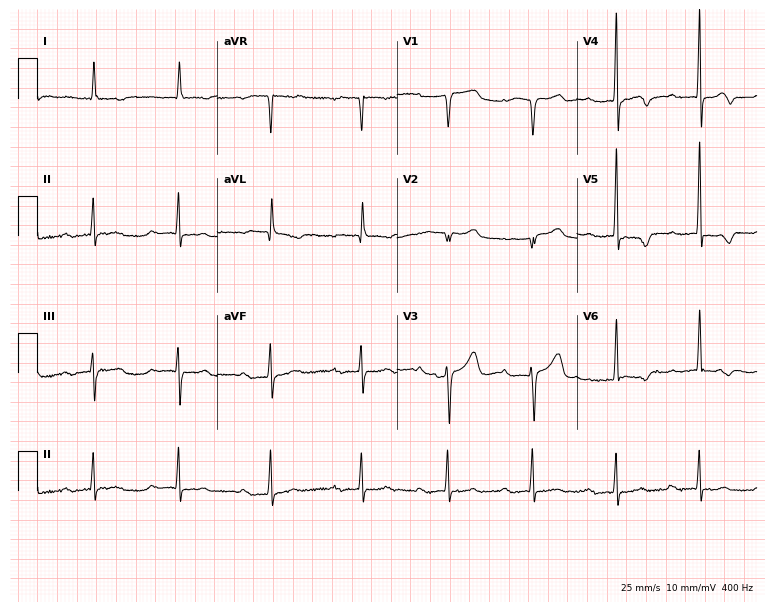
Resting 12-lead electrocardiogram. Patient: an 80-year-old woman. The tracing shows first-degree AV block.